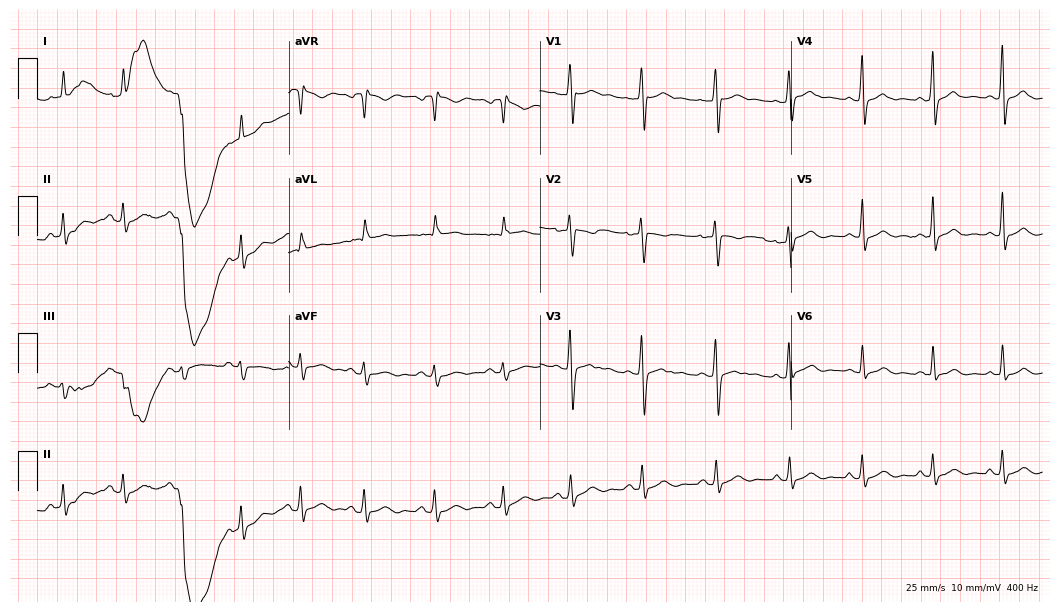
12-lead ECG from a woman, 29 years old. Labelled as a normal ECG.